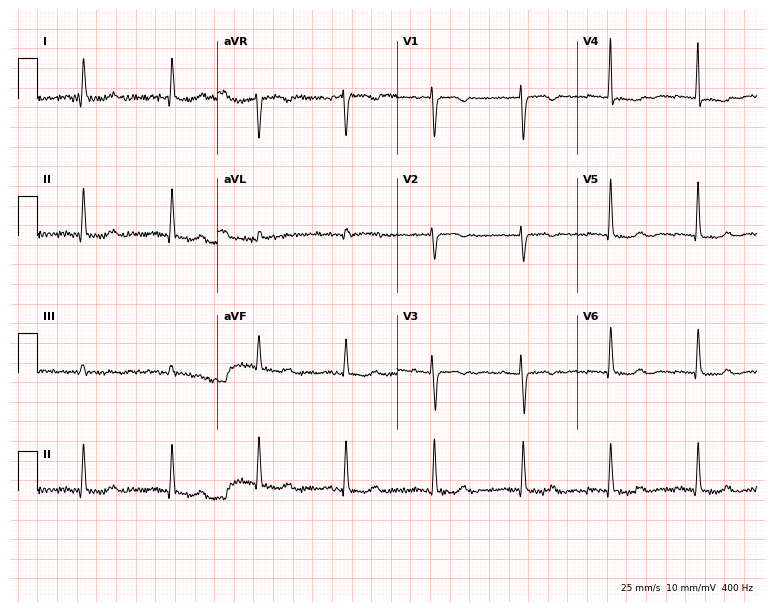
12-lead ECG from a 62-year-old female. No first-degree AV block, right bundle branch block, left bundle branch block, sinus bradycardia, atrial fibrillation or sinus tachycardia recorded for this tracing.